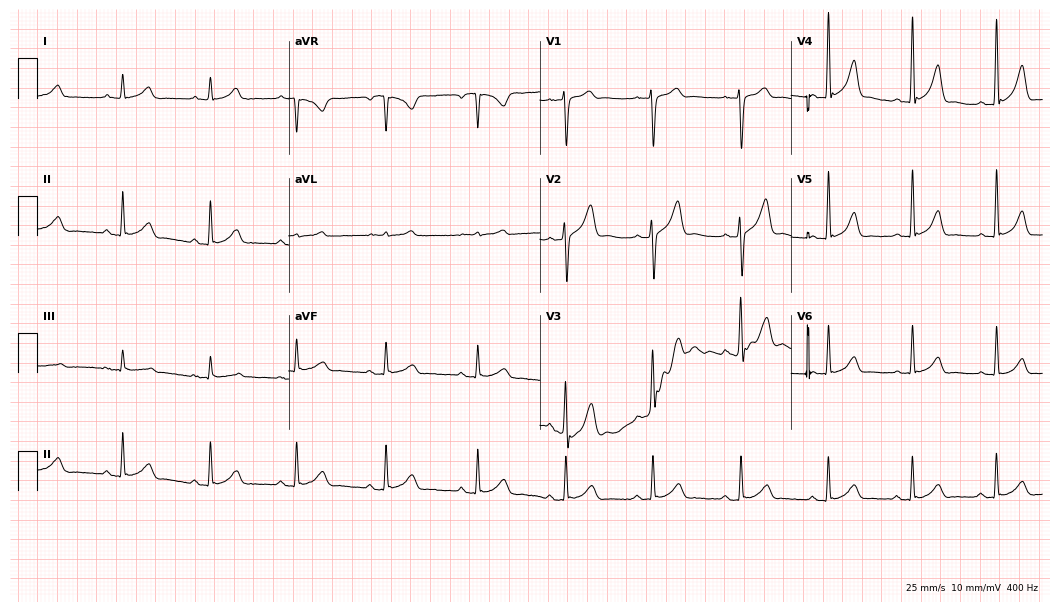
12-lead ECG from a 42-year-old male. Screened for six findings — first-degree AV block, right bundle branch block (RBBB), left bundle branch block (LBBB), sinus bradycardia, atrial fibrillation (AF), sinus tachycardia — none is recorded.